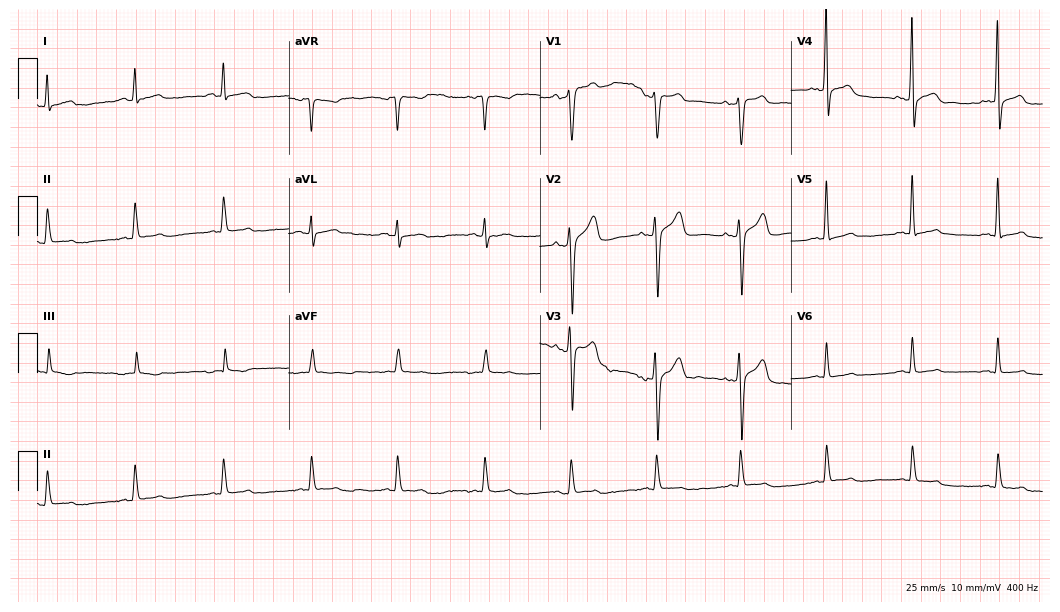
Resting 12-lead electrocardiogram (10.2-second recording at 400 Hz). Patient: a 50-year-old man. None of these six findings is recorded: first-degree AV block, right bundle branch block, left bundle branch block, sinus bradycardia, atrial fibrillation, sinus tachycardia.